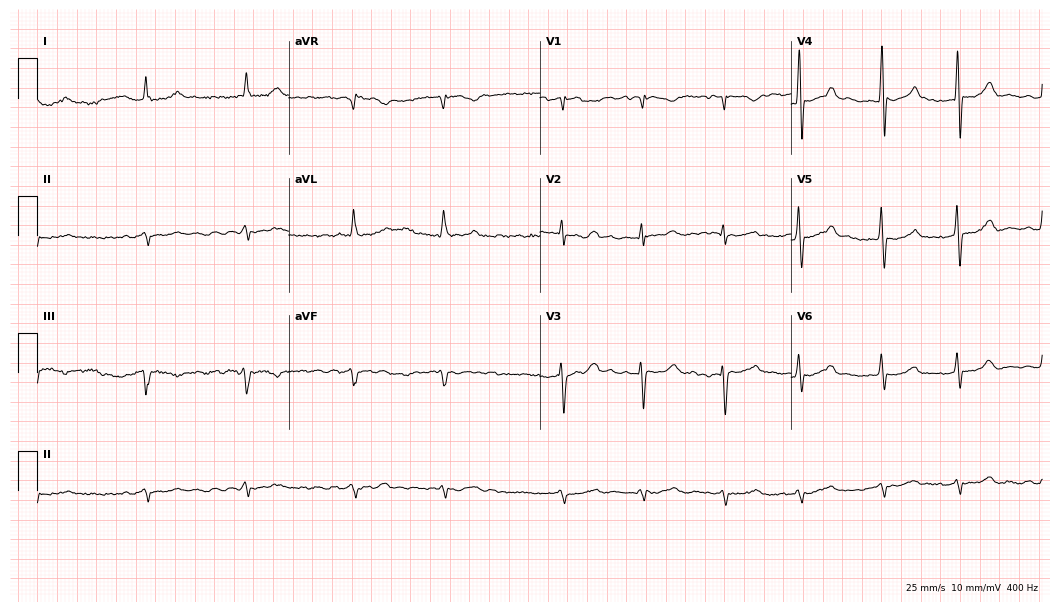
Electrocardiogram (10.2-second recording at 400 Hz), a man, 81 years old. Interpretation includes atrial fibrillation (AF).